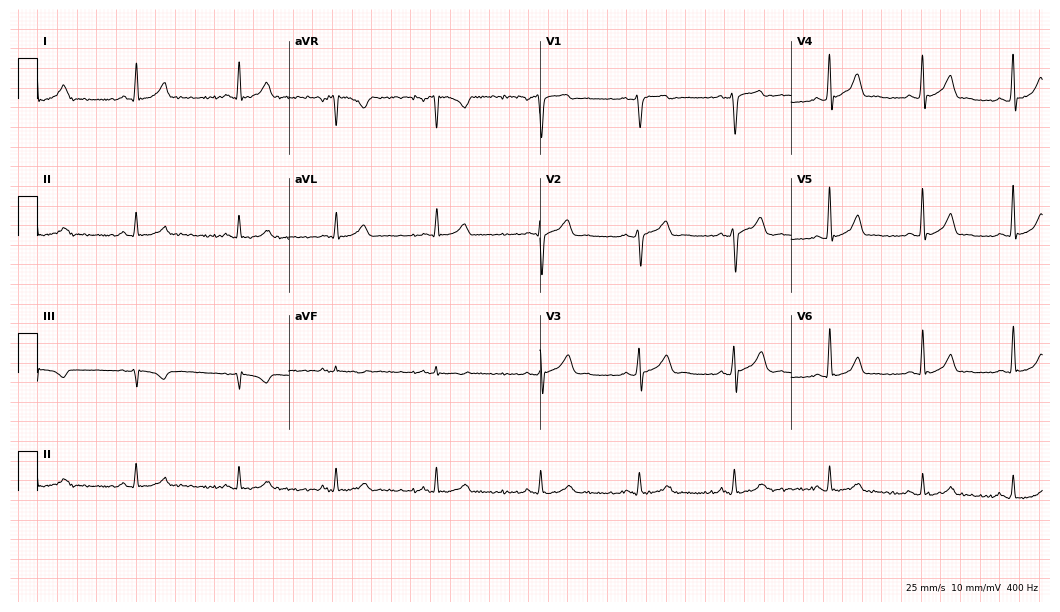
12-lead ECG from a male patient, 35 years old. Labelled as a normal ECG.